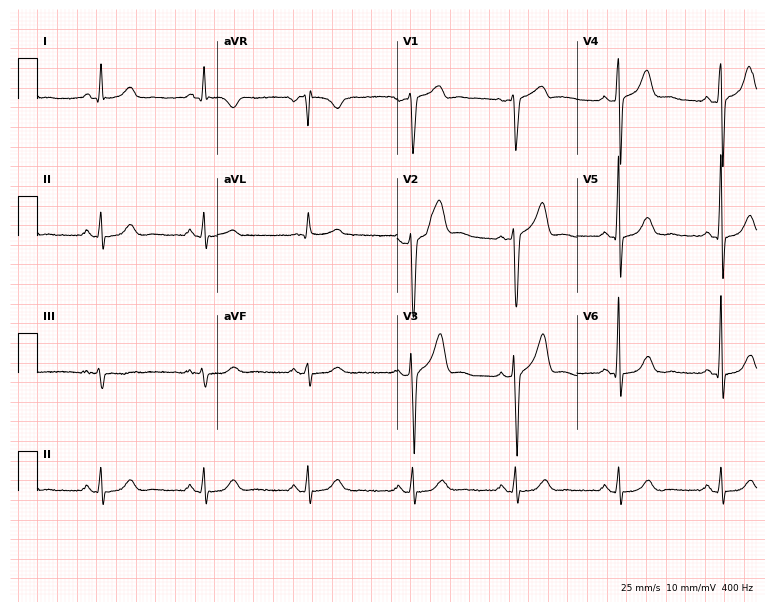
12-lead ECG from a 52-year-old male patient. Recorded interpretation: within normal limits.